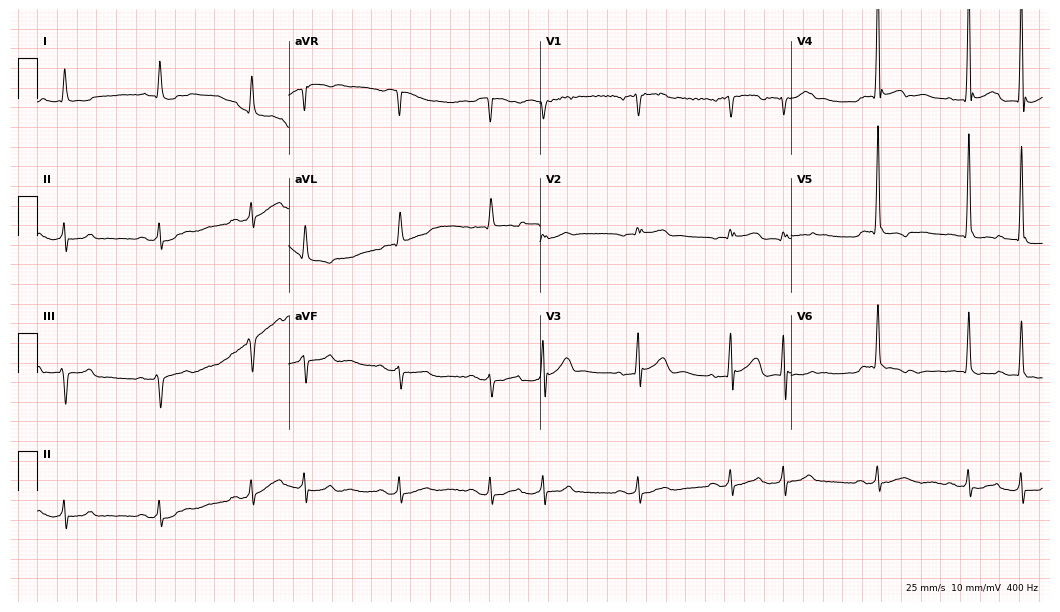
12-lead ECG (10.2-second recording at 400 Hz) from a 79-year-old male patient. Screened for six findings — first-degree AV block, right bundle branch block (RBBB), left bundle branch block (LBBB), sinus bradycardia, atrial fibrillation (AF), sinus tachycardia — none is recorded. Findings outside these six are not listed.